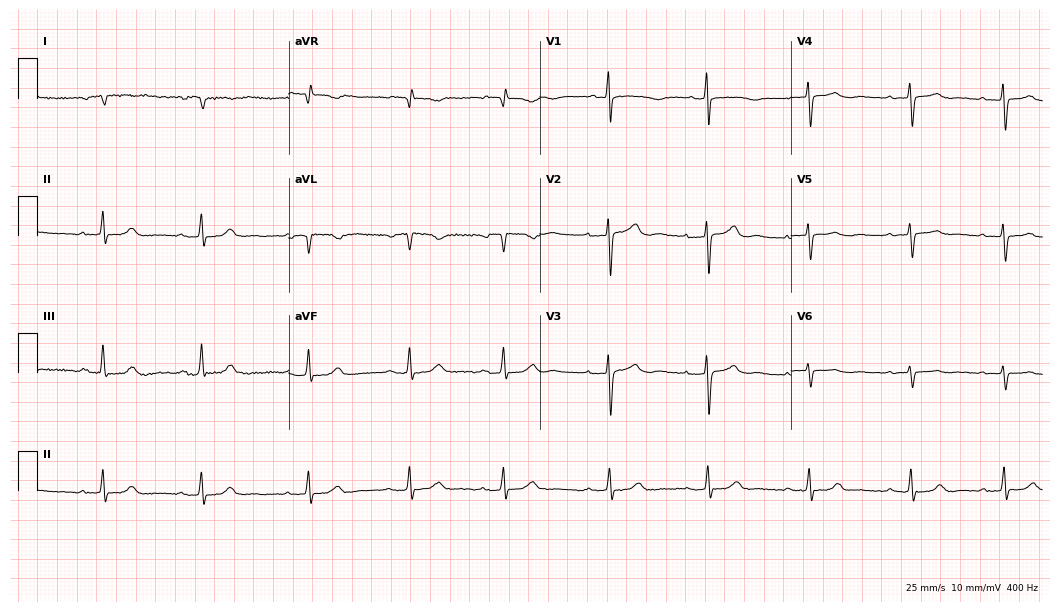
12-lead ECG from a woman, 42 years old (10.2-second recording at 400 Hz). No first-degree AV block, right bundle branch block (RBBB), left bundle branch block (LBBB), sinus bradycardia, atrial fibrillation (AF) or sinus tachycardia recorded for this tracing. Only these six findings were labelled.